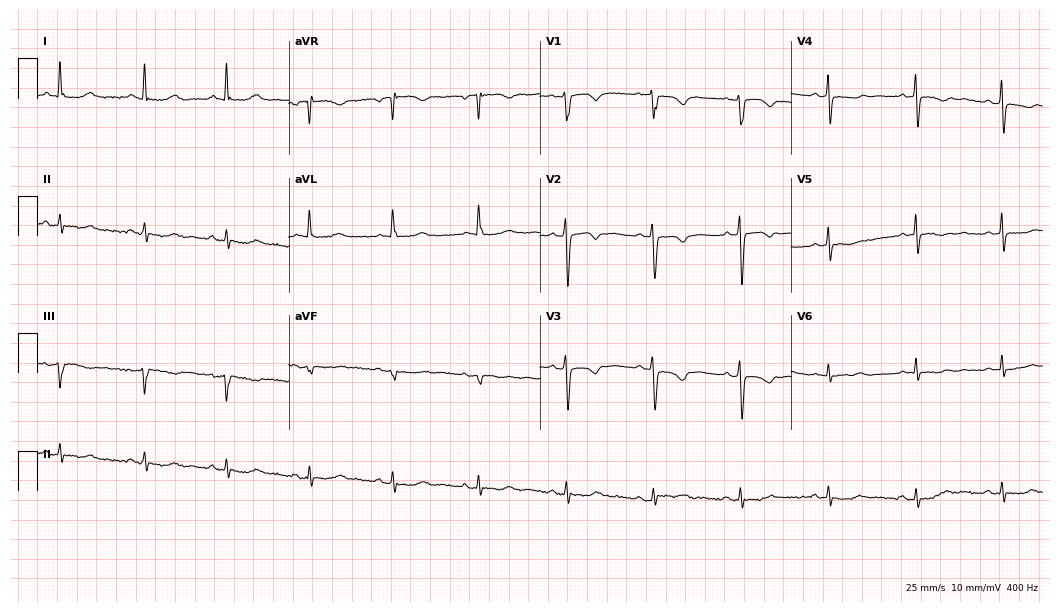
12-lead ECG from a 62-year-old woman. Screened for six findings — first-degree AV block, right bundle branch block (RBBB), left bundle branch block (LBBB), sinus bradycardia, atrial fibrillation (AF), sinus tachycardia — none is recorded. Only these six findings were labelled.